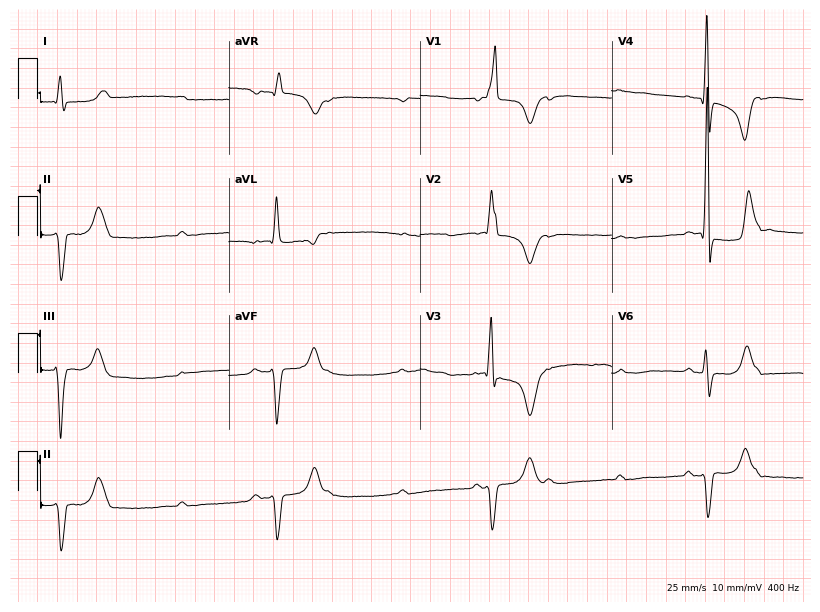
Electrocardiogram (7.8-second recording at 400 Hz), a 78-year-old woman. Of the six screened findings (first-degree AV block, right bundle branch block, left bundle branch block, sinus bradycardia, atrial fibrillation, sinus tachycardia), none is recorded.